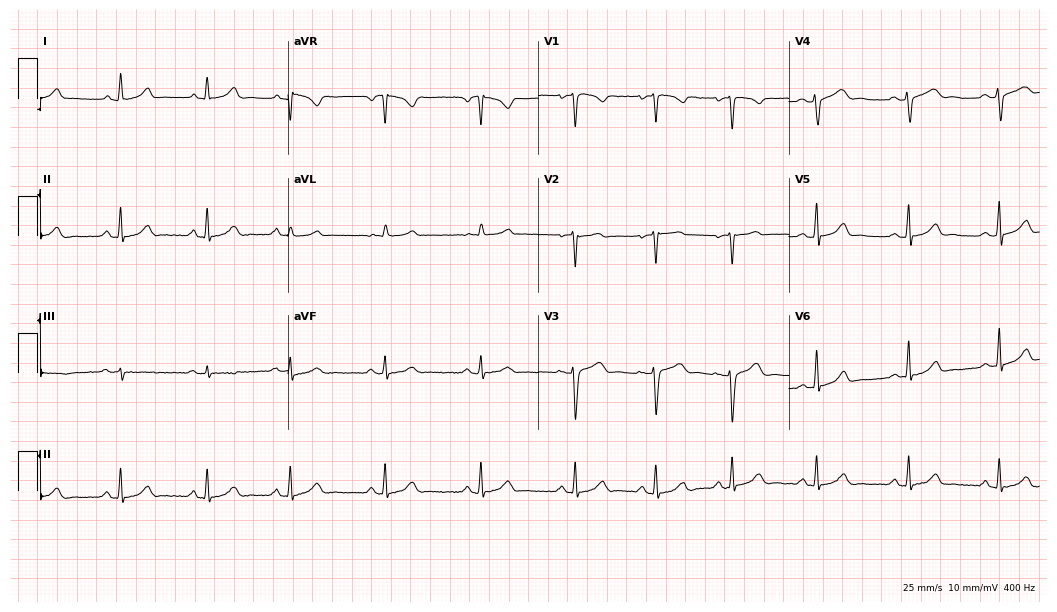
Resting 12-lead electrocardiogram (10.2-second recording at 400 Hz). Patient: a female, 33 years old. Read as a normal ECG.